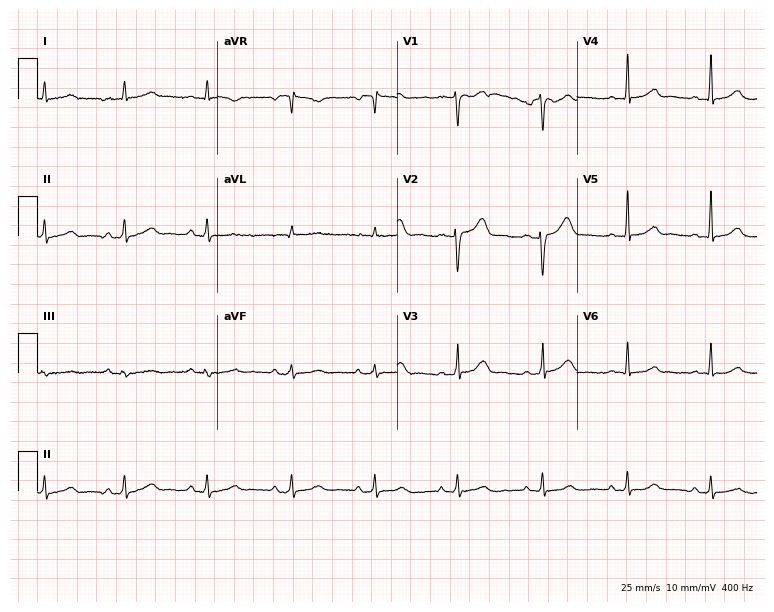
Resting 12-lead electrocardiogram (7.3-second recording at 400 Hz). Patient: a 39-year-old female. Read as a normal ECG.